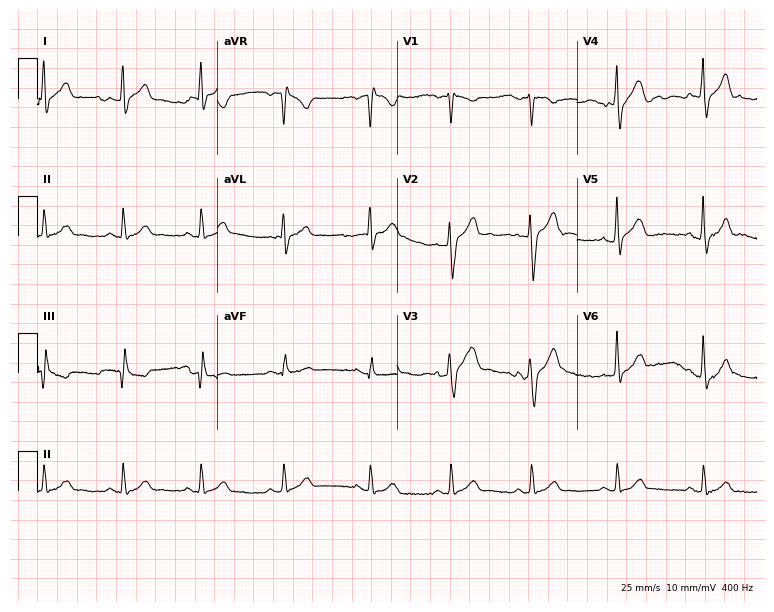
12-lead ECG from a male patient, 36 years old. Recorded interpretation: within normal limits.